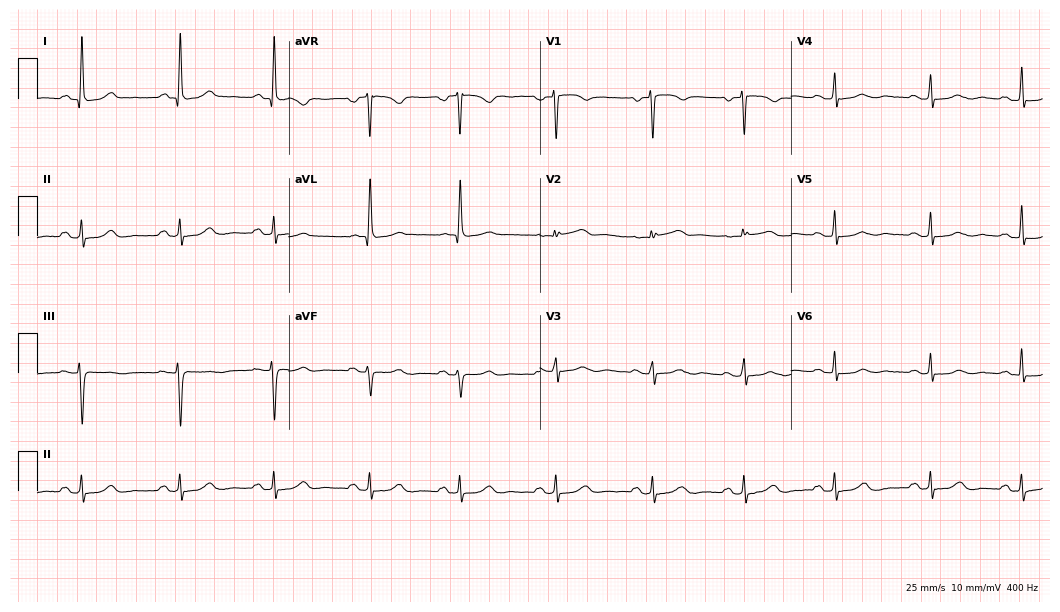
Resting 12-lead electrocardiogram. Patient: a 49-year-old female. None of these six findings is recorded: first-degree AV block, right bundle branch block, left bundle branch block, sinus bradycardia, atrial fibrillation, sinus tachycardia. Only these six findings were labelled.